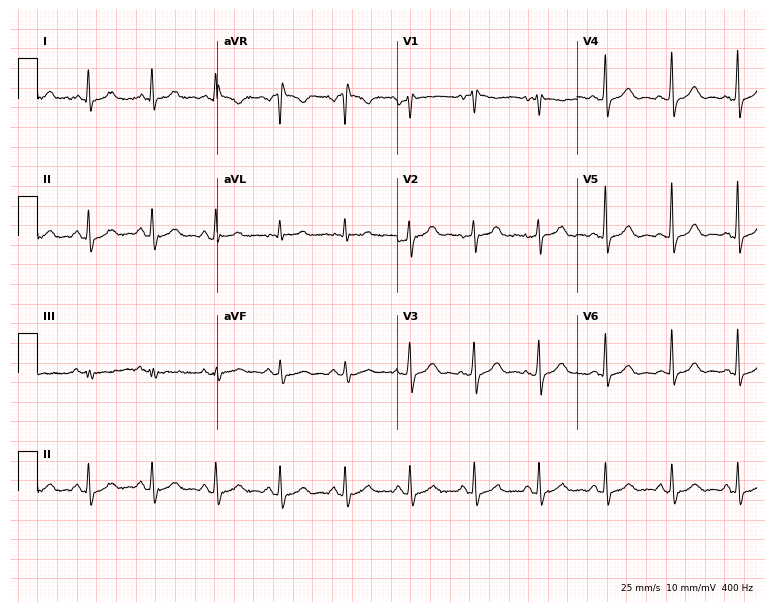
ECG — a 59-year-old female patient. Labelled as a normal ECG.